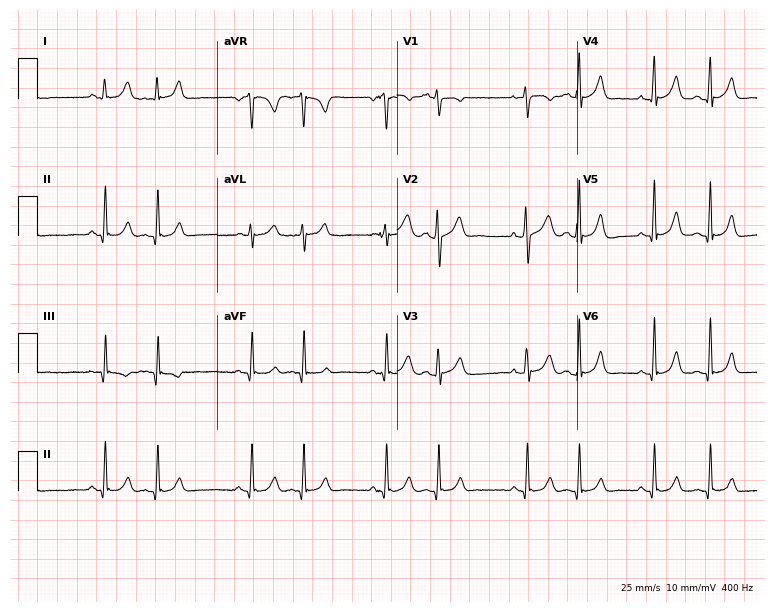
Electrocardiogram, a female, 41 years old. Of the six screened findings (first-degree AV block, right bundle branch block (RBBB), left bundle branch block (LBBB), sinus bradycardia, atrial fibrillation (AF), sinus tachycardia), none is recorded.